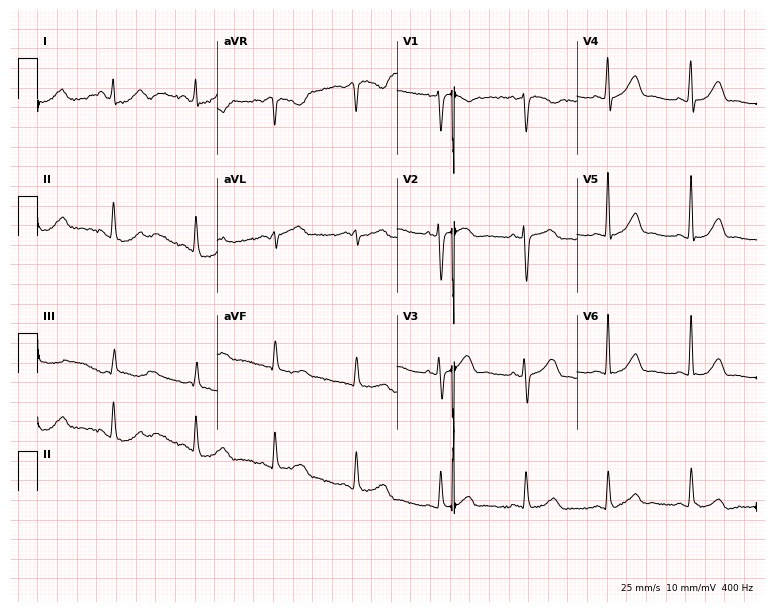
12-lead ECG (7.3-second recording at 400 Hz) from a 47-year-old female patient. Screened for six findings — first-degree AV block, right bundle branch block, left bundle branch block, sinus bradycardia, atrial fibrillation, sinus tachycardia — none is recorded.